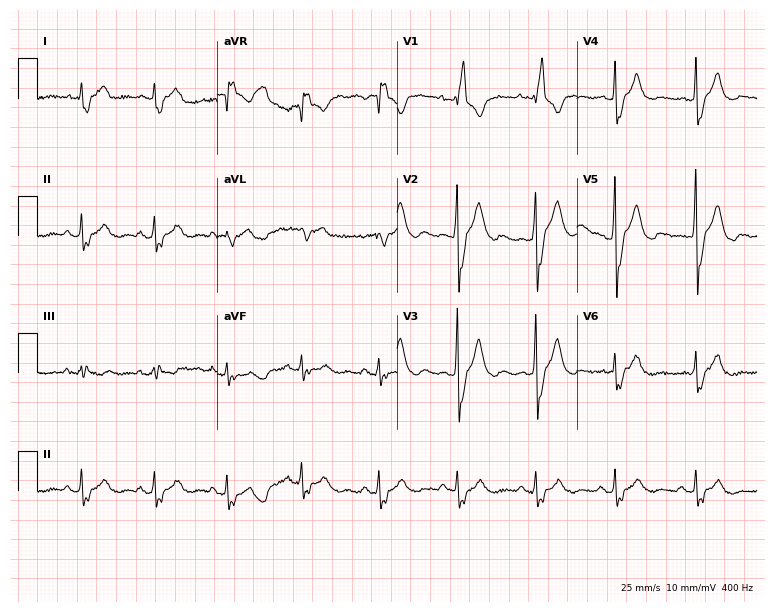
Electrocardiogram, a 52-year-old male. Interpretation includes right bundle branch block (RBBB).